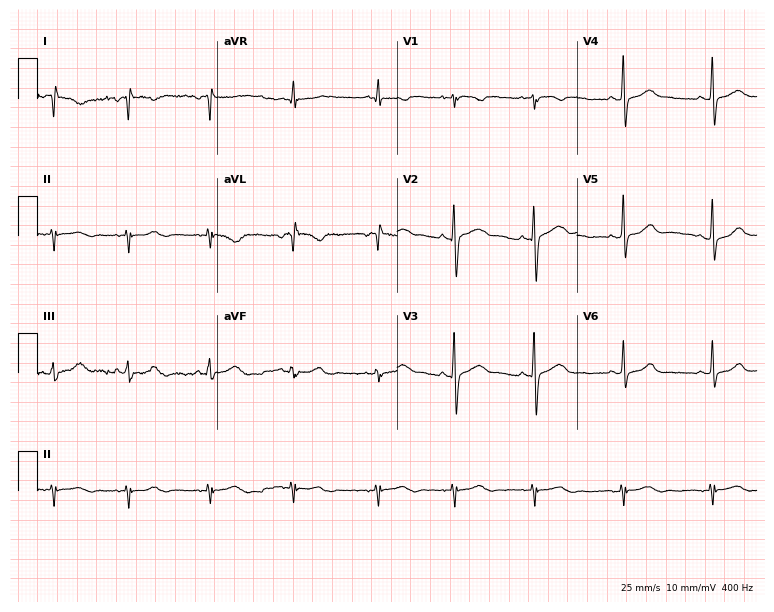
ECG (7.3-second recording at 400 Hz) — a female, 19 years old. Screened for six findings — first-degree AV block, right bundle branch block (RBBB), left bundle branch block (LBBB), sinus bradycardia, atrial fibrillation (AF), sinus tachycardia — none is recorded.